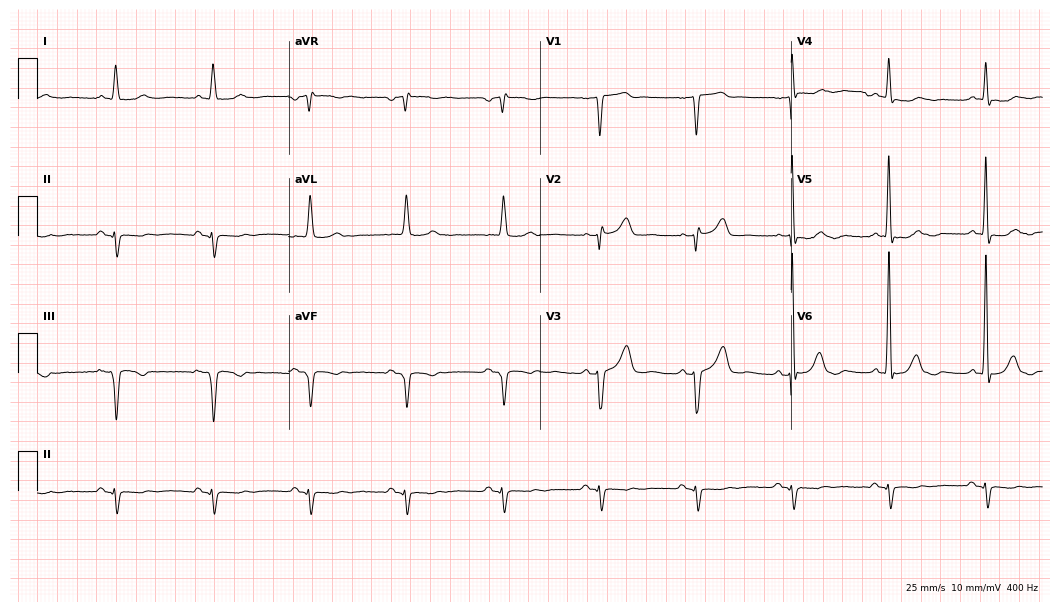
Standard 12-lead ECG recorded from a man, 83 years old (10.2-second recording at 400 Hz). None of these six findings is recorded: first-degree AV block, right bundle branch block (RBBB), left bundle branch block (LBBB), sinus bradycardia, atrial fibrillation (AF), sinus tachycardia.